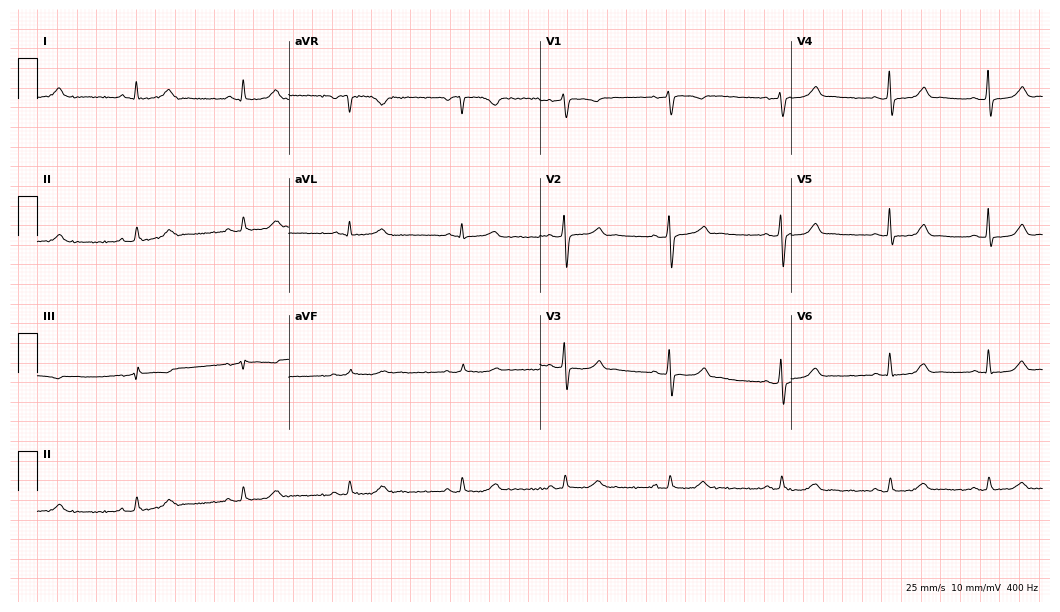
Resting 12-lead electrocardiogram (10.2-second recording at 400 Hz). Patient: a woman, 46 years old. None of these six findings is recorded: first-degree AV block, right bundle branch block, left bundle branch block, sinus bradycardia, atrial fibrillation, sinus tachycardia.